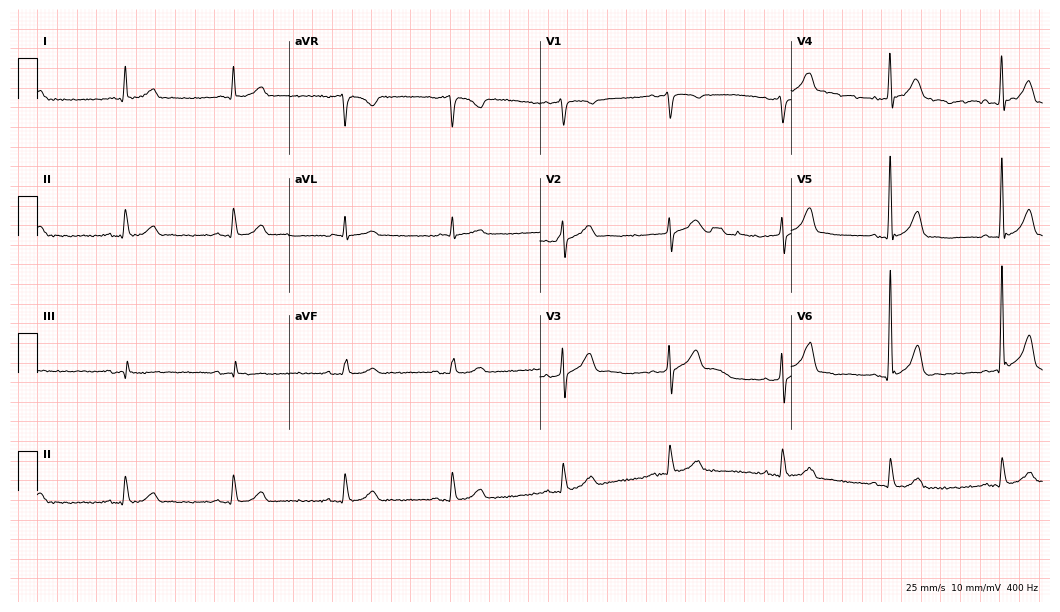
Electrocardiogram, a male, 71 years old. Overall reading on record: normal ECG.